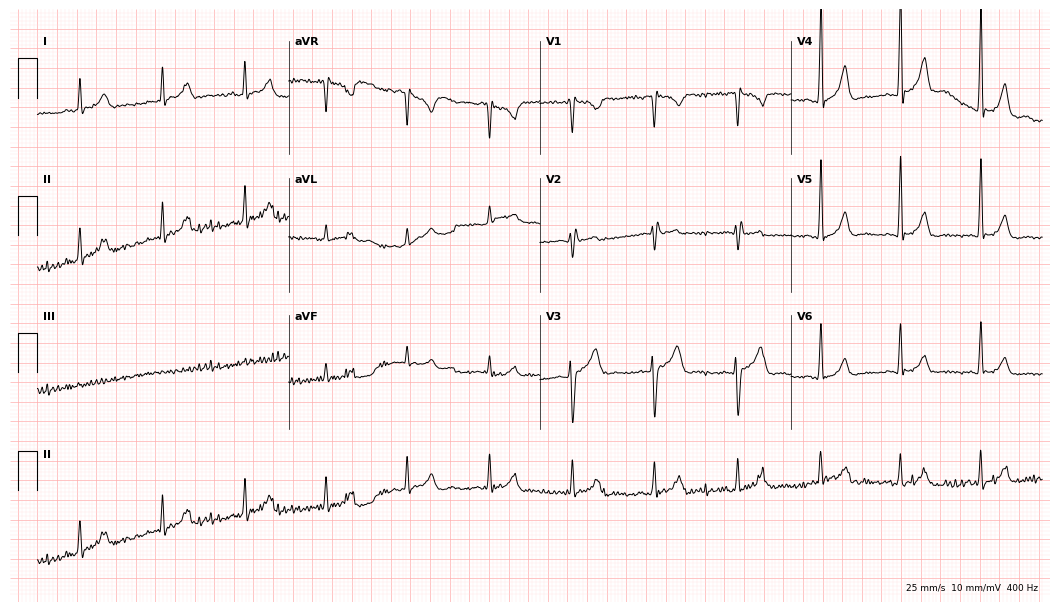
ECG (10.2-second recording at 400 Hz) — a 33-year-old male patient. Screened for six findings — first-degree AV block, right bundle branch block (RBBB), left bundle branch block (LBBB), sinus bradycardia, atrial fibrillation (AF), sinus tachycardia — none is recorded. Other findings, if any, are not listed.